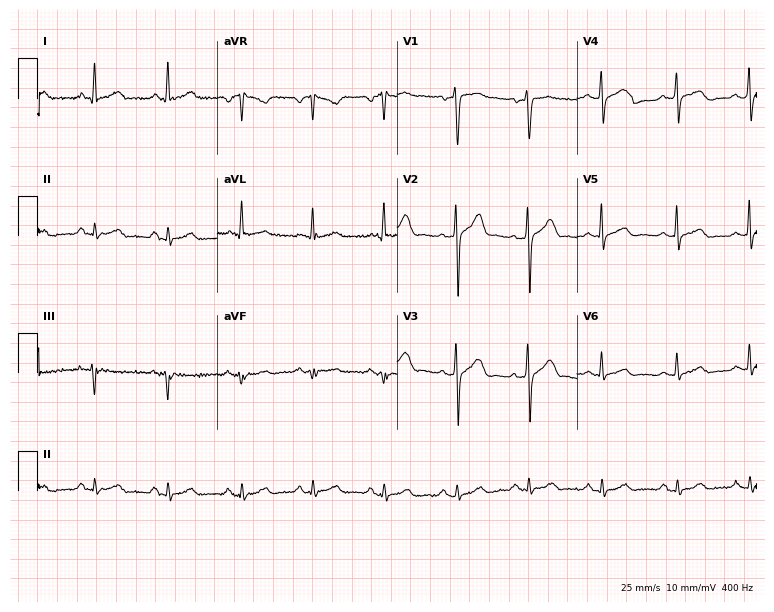
Electrocardiogram (7.3-second recording at 400 Hz), a 54-year-old male patient. Overall reading on record: normal ECG.